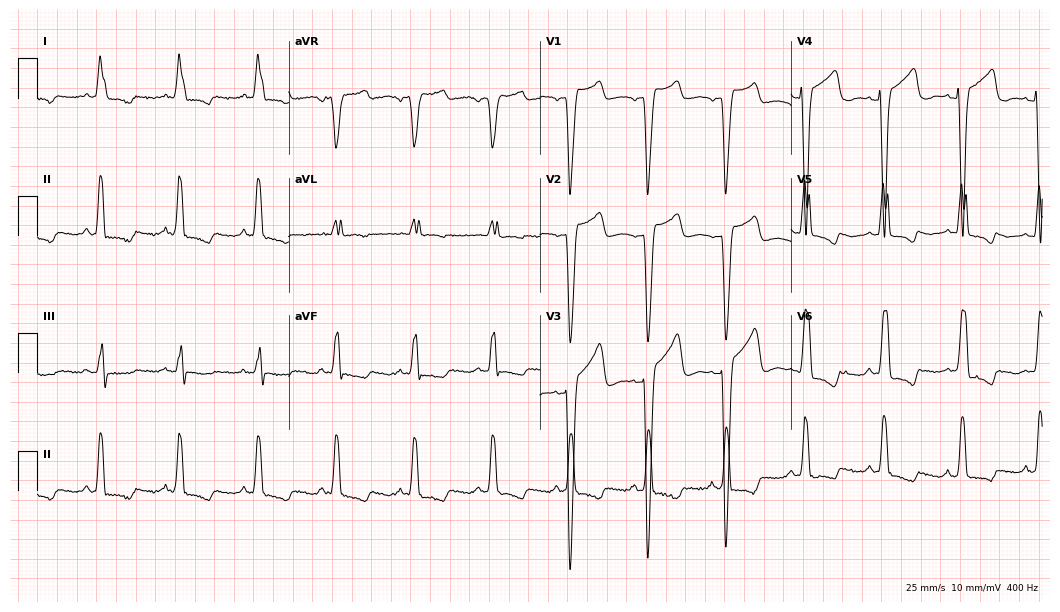
ECG — a 68-year-old female. Findings include left bundle branch block.